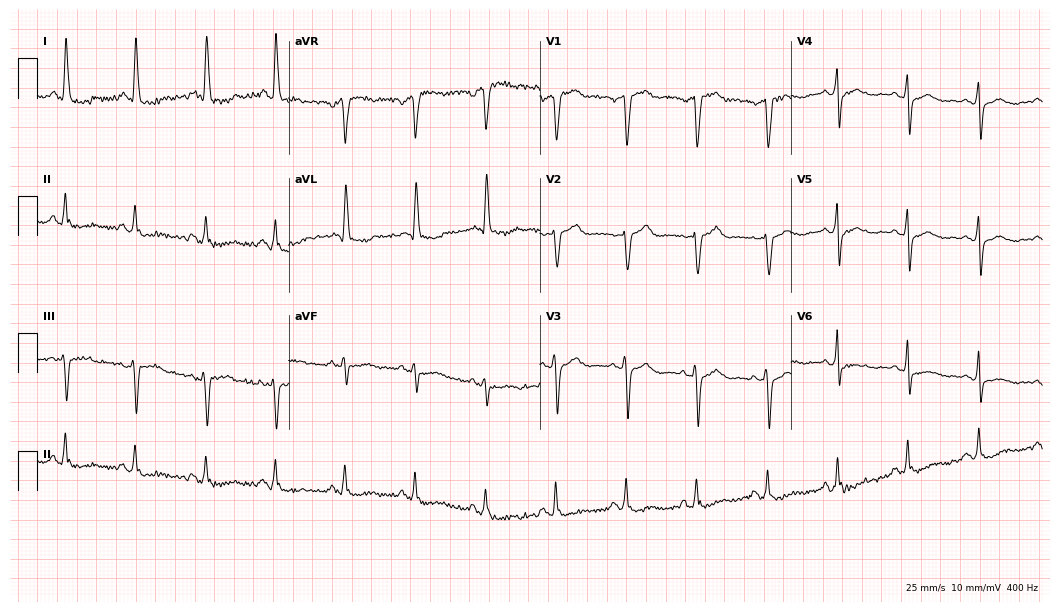
Resting 12-lead electrocardiogram. Patient: a female, 56 years old. None of these six findings is recorded: first-degree AV block, right bundle branch block, left bundle branch block, sinus bradycardia, atrial fibrillation, sinus tachycardia. Findings outside these six are not listed.